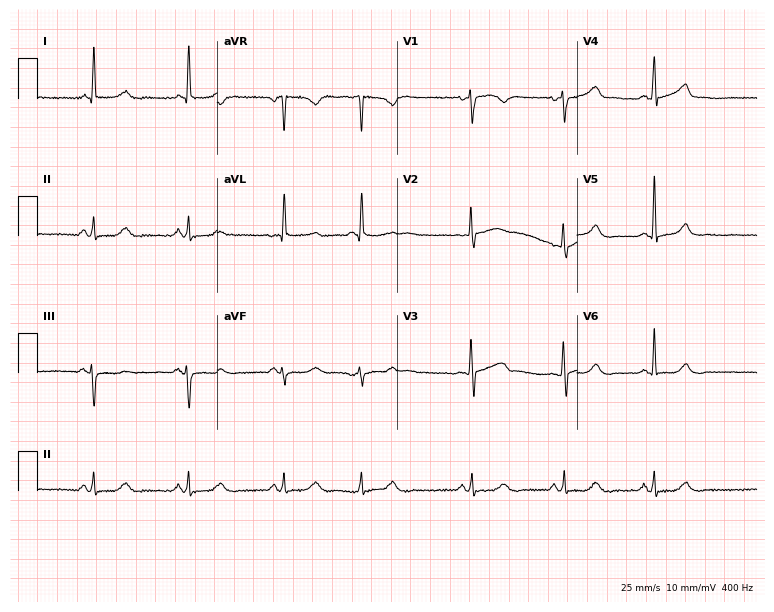
Resting 12-lead electrocardiogram (7.3-second recording at 400 Hz). Patient: a 74-year-old female. None of these six findings is recorded: first-degree AV block, right bundle branch block, left bundle branch block, sinus bradycardia, atrial fibrillation, sinus tachycardia. Only these six findings were labelled.